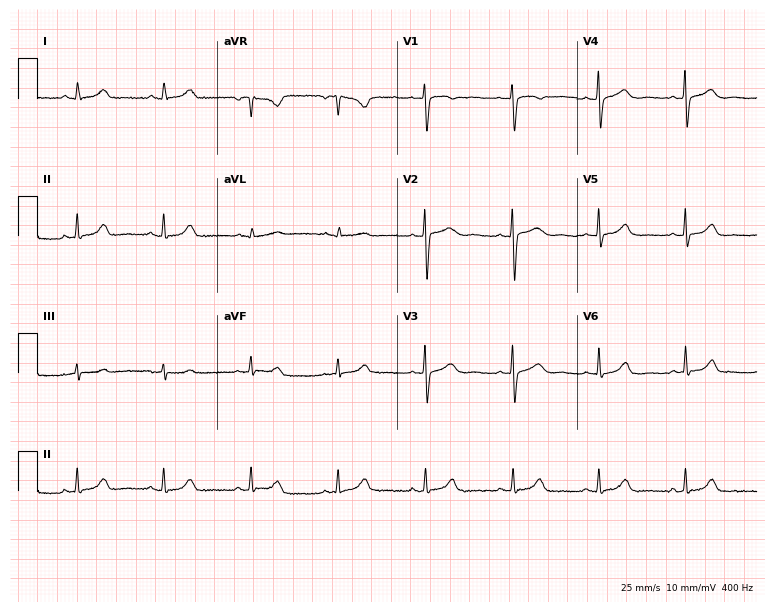
Standard 12-lead ECG recorded from a woman, 31 years old. None of these six findings is recorded: first-degree AV block, right bundle branch block, left bundle branch block, sinus bradycardia, atrial fibrillation, sinus tachycardia. Findings outside these six are not listed.